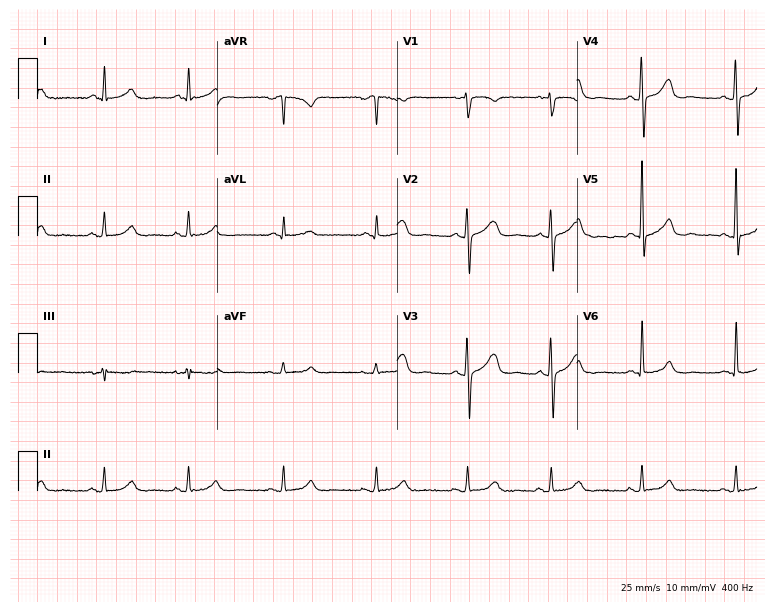
12-lead ECG from a woman, 54 years old. Labelled as a normal ECG.